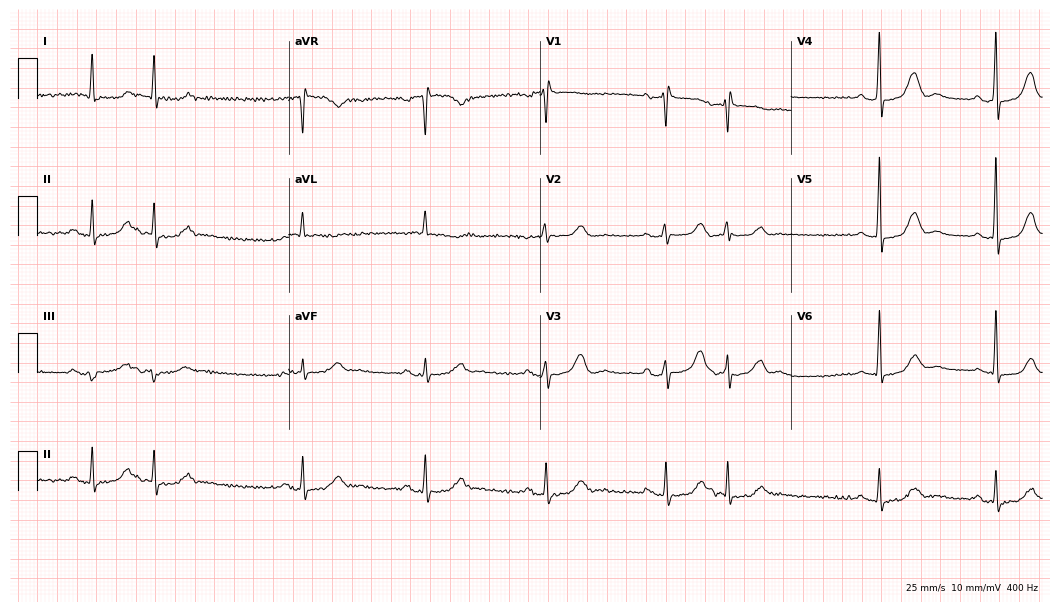
ECG — a female, 73 years old. Labelled as a normal ECG.